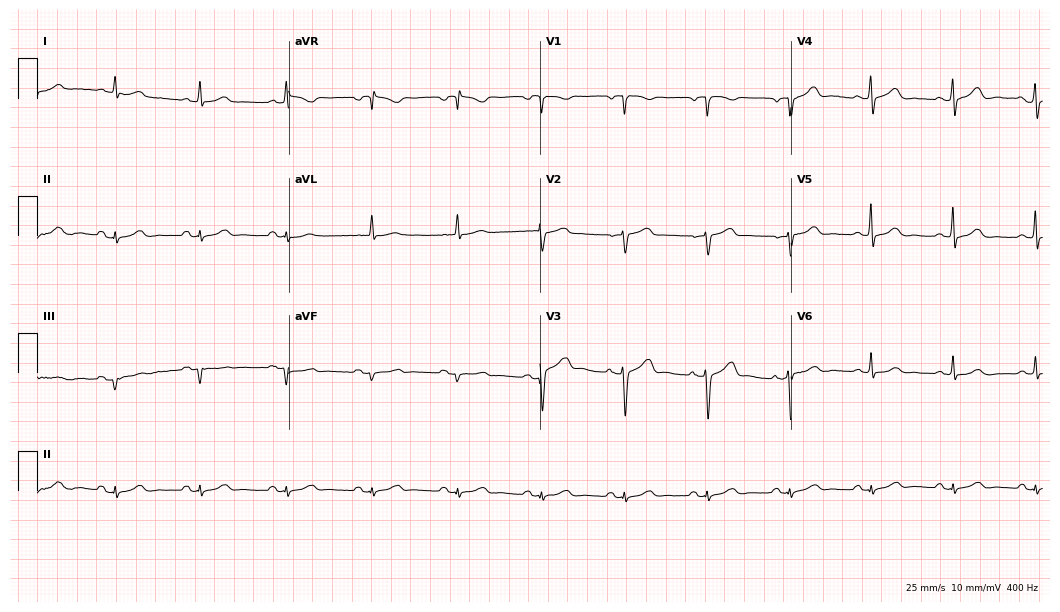
Standard 12-lead ECG recorded from a male, 71 years old. Read as a normal ECG.